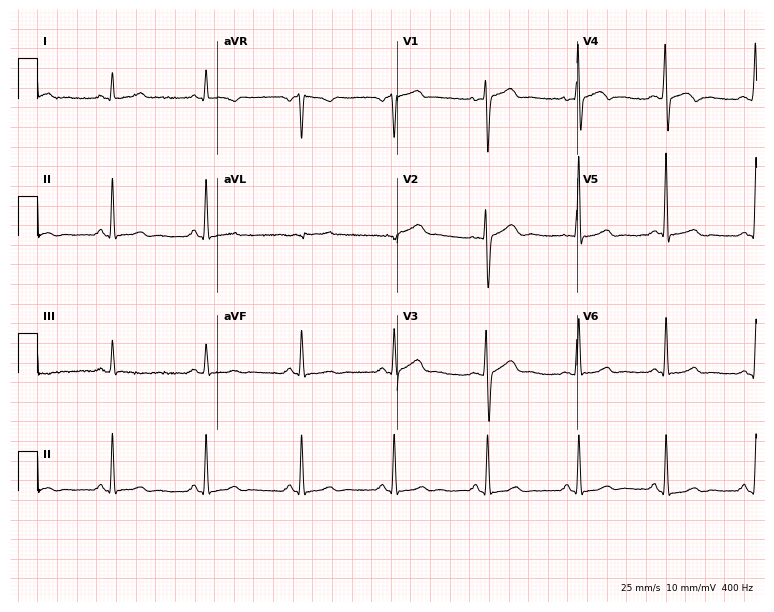
Standard 12-lead ECG recorded from a 31-year-old female (7.3-second recording at 400 Hz). None of these six findings is recorded: first-degree AV block, right bundle branch block, left bundle branch block, sinus bradycardia, atrial fibrillation, sinus tachycardia. Other findings, if any, are not listed.